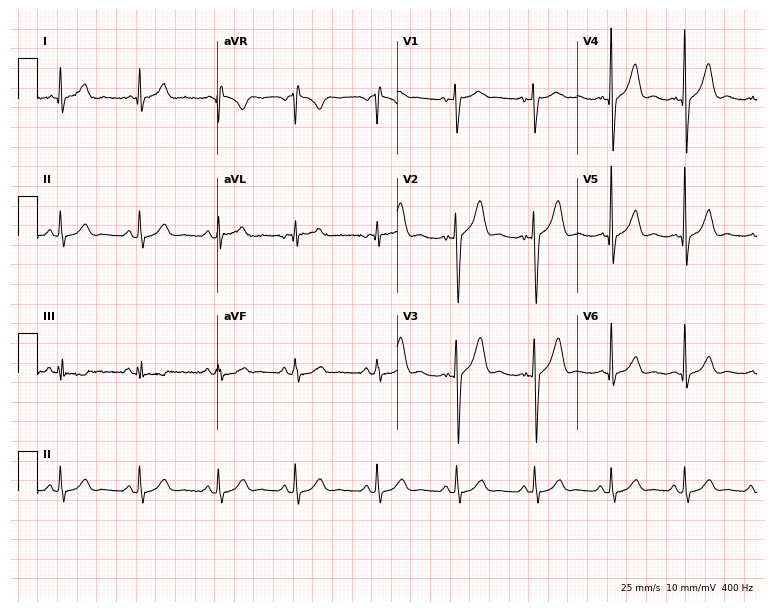
ECG — a 43-year-old male patient. Labelled as a normal ECG.